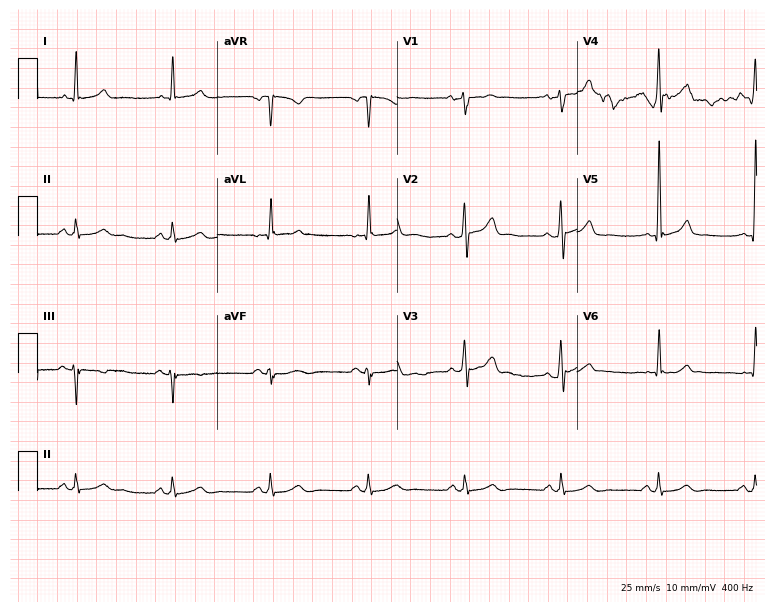
12-lead ECG from a female patient, 57 years old (7.3-second recording at 400 Hz). No first-degree AV block, right bundle branch block, left bundle branch block, sinus bradycardia, atrial fibrillation or sinus tachycardia recorded for this tracing. Other findings, if any, are not listed.